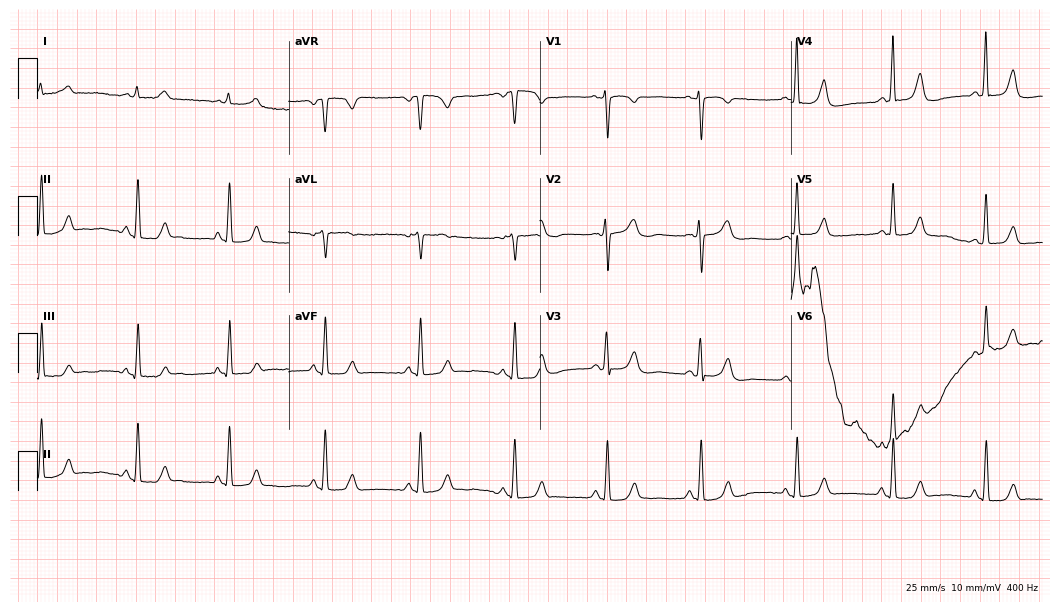
Electrocardiogram, a 75-year-old woman. Overall reading on record: normal ECG.